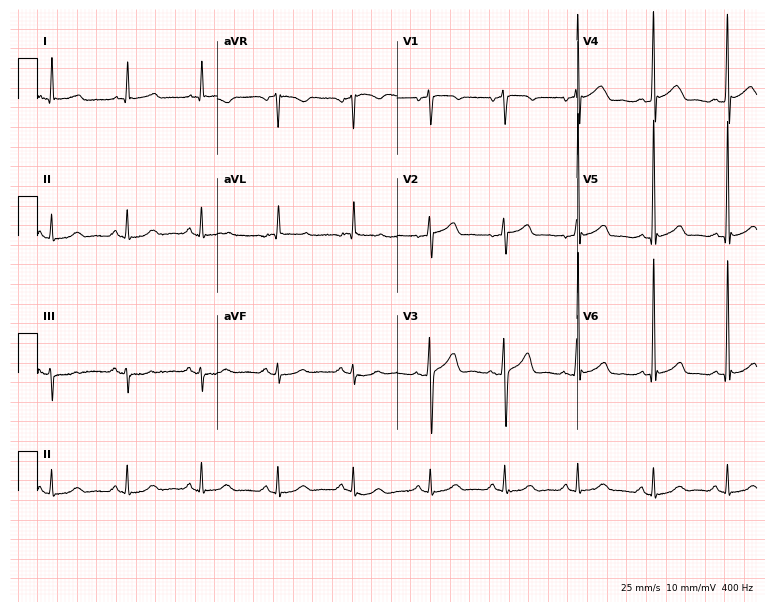
Standard 12-lead ECG recorded from a 78-year-old man (7.3-second recording at 400 Hz). None of these six findings is recorded: first-degree AV block, right bundle branch block, left bundle branch block, sinus bradycardia, atrial fibrillation, sinus tachycardia. Other findings, if any, are not listed.